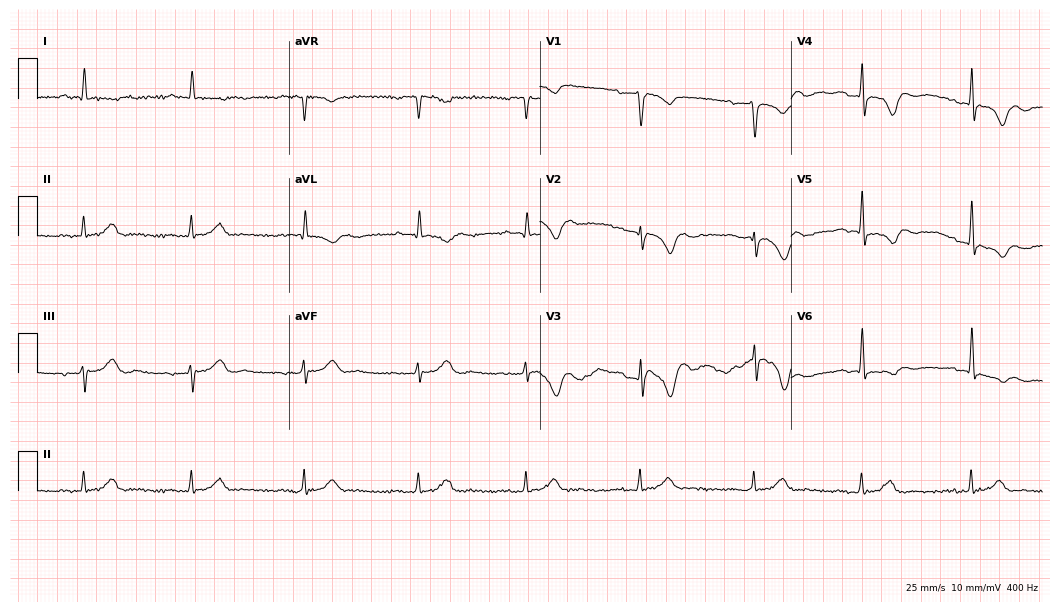
Resting 12-lead electrocardiogram. Patient: a man, 62 years old. The tracing shows first-degree AV block.